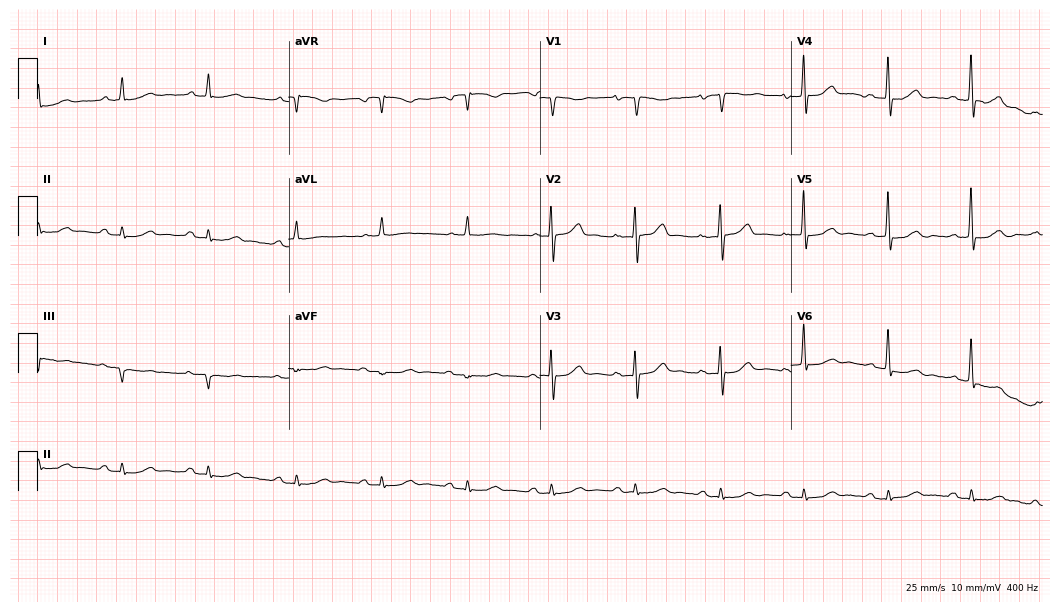
Standard 12-lead ECG recorded from a male, 83 years old. Read as a normal ECG.